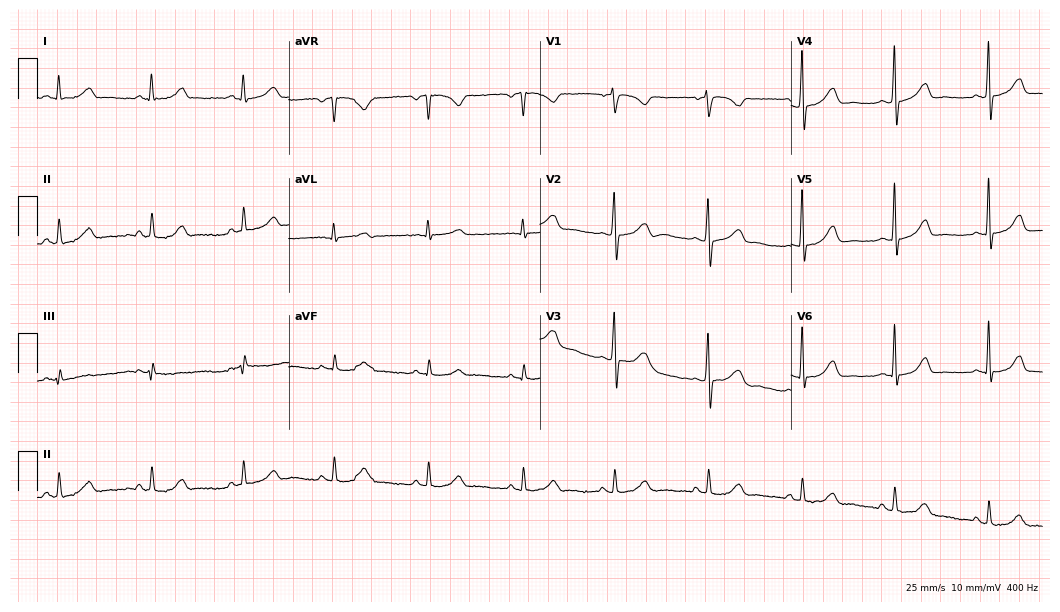
Standard 12-lead ECG recorded from a woman, 40 years old. Read as a normal ECG.